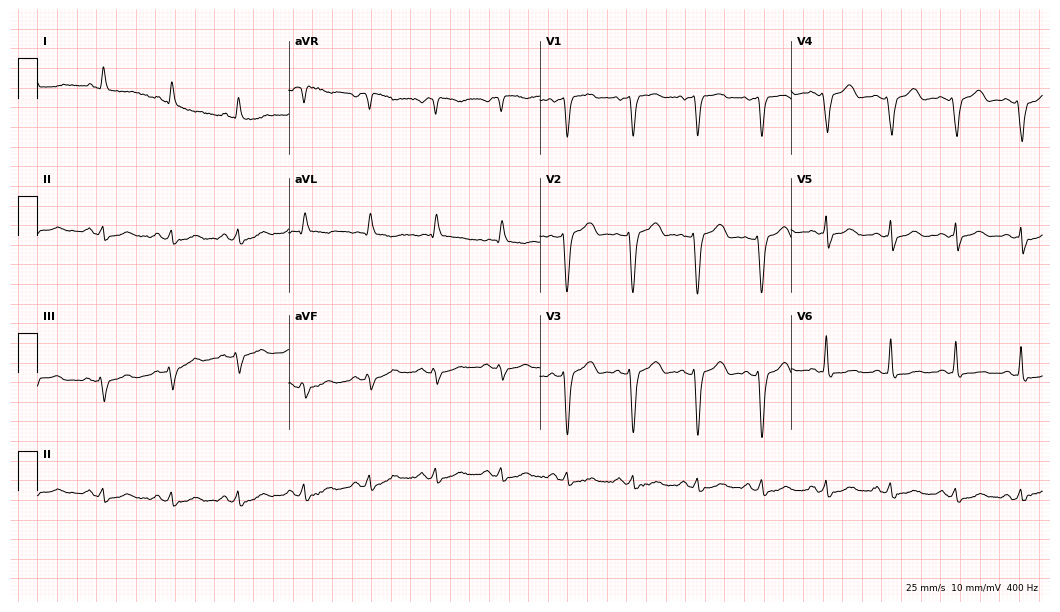
12-lead ECG from a 72-year-old female. Screened for six findings — first-degree AV block, right bundle branch block, left bundle branch block, sinus bradycardia, atrial fibrillation, sinus tachycardia — none is recorded.